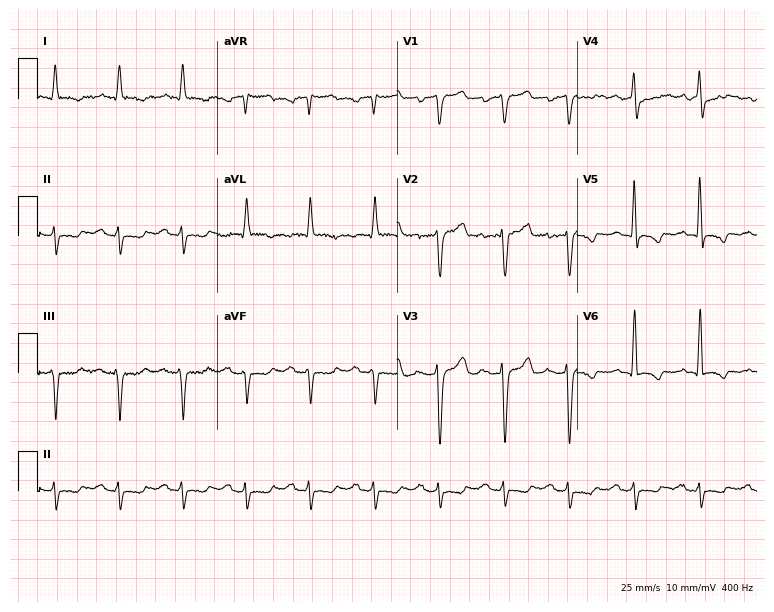
12-lead ECG from a male, 66 years old. Screened for six findings — first-degree AV block, right bundle branch block (RBBB), left bundle branch block (LBBB), sinus bradycardia, atrial fibrillation (AF), sinus tachycardia — none is recorded.